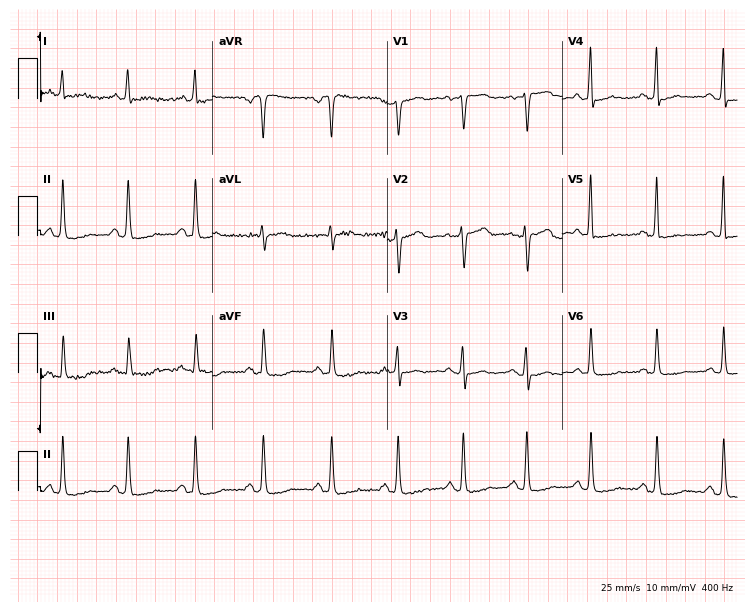
12-lead ECG from a 55-year-old woman (7.1-second recording at 400 Hz). No first-degree AV block, right bundle branch block, left bundle branch block, sinus bradycardia, atrial fibrillation or sinus tachycardia recorded for this tracing.